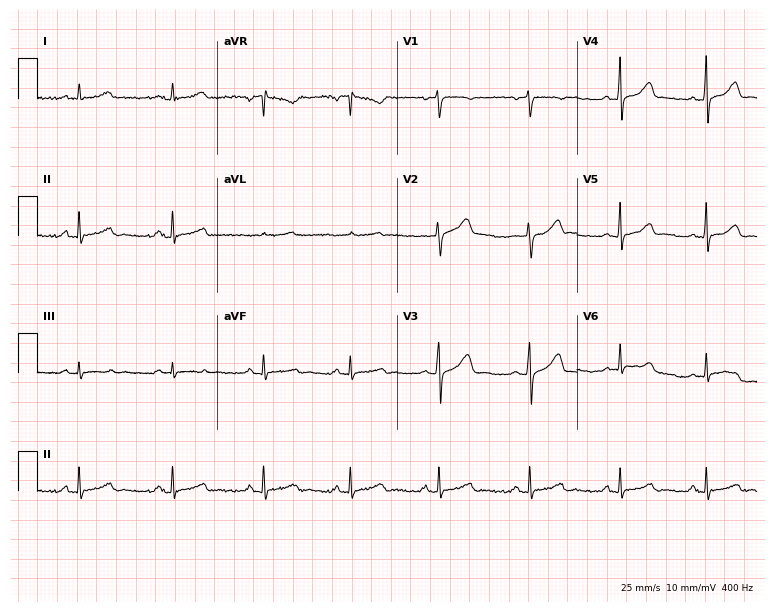
ECG (7.3-second recording at 400 Hz) — a 46-year-old female. Labelled as a normal ECG.